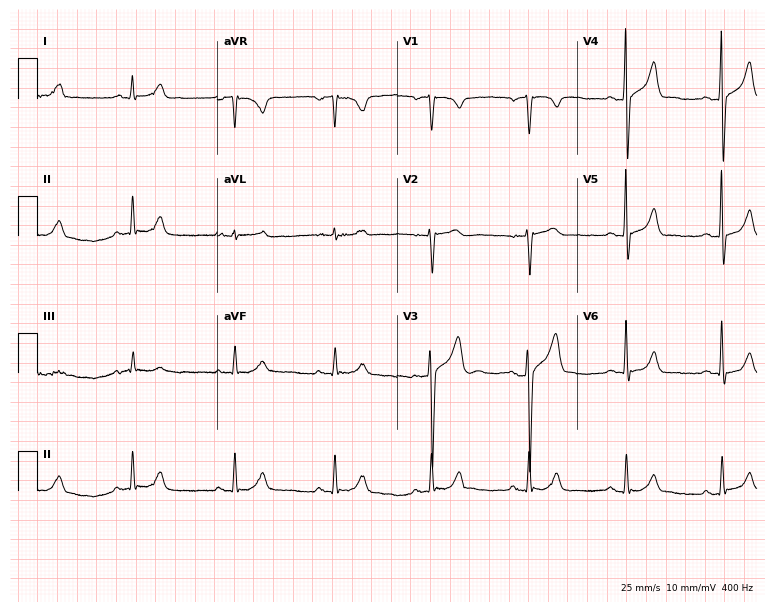
12-lead ECG from a man, 62 years old. Recorded interpretation: within normal limits.